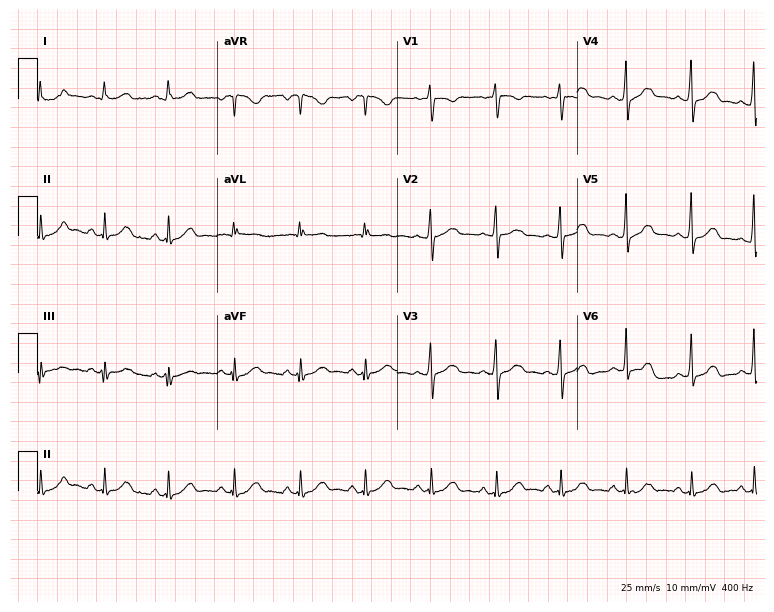
Resting 12-lead electrocardiogram. Patient: a 50-year-old female. Read as a normal ECG.